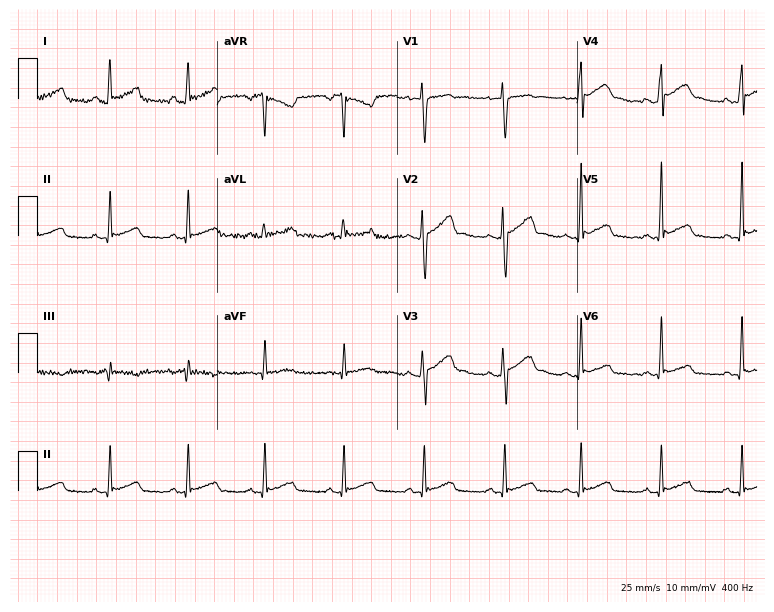
12-lead ECG from a 23-year-old male patient. Labelled as a normal ECG.